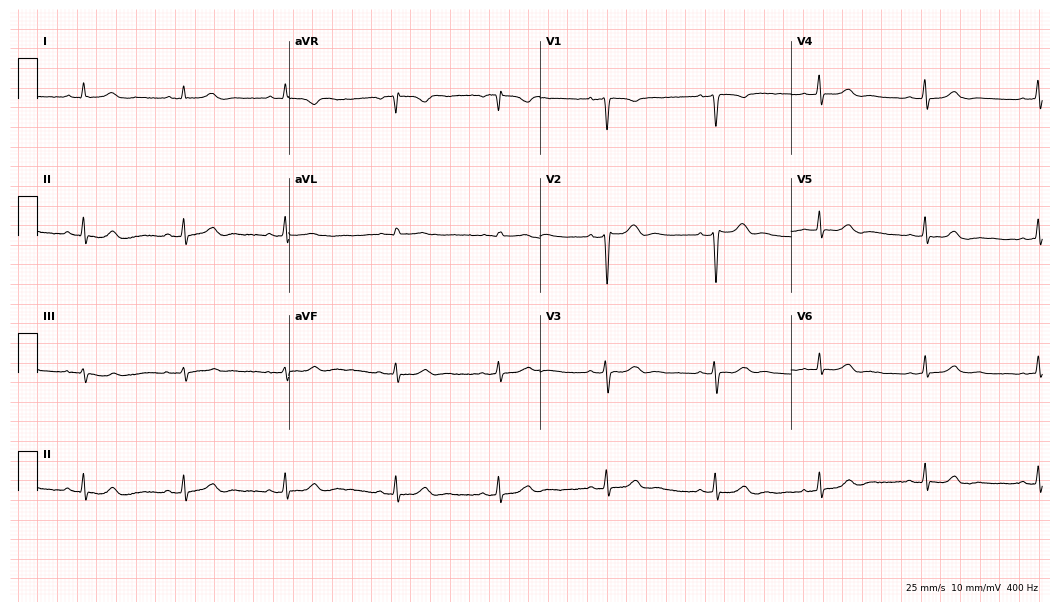
Electrocardiogram, a 23-year-old female. Overall reading on record: normal ECG.